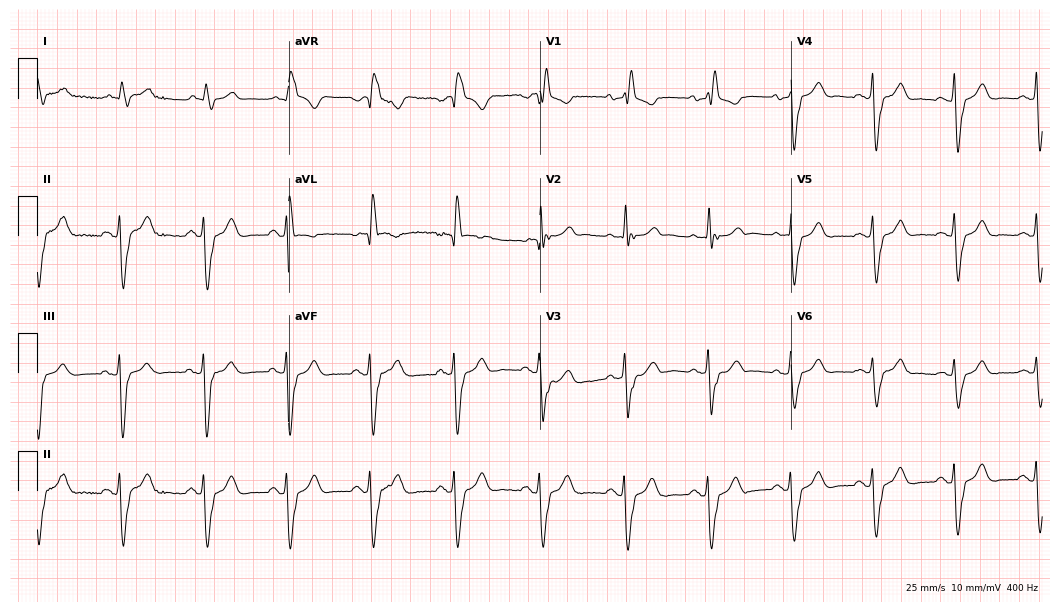
Resting 12-lead electrocardiogram. Patient: a man, 83 years old. The tracing shows right bundle branch block (RBBB).